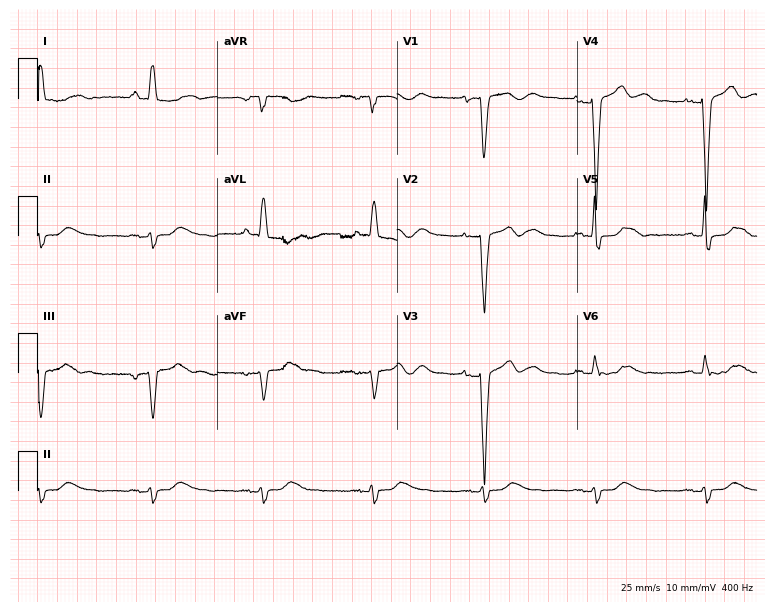
Resting 12-lead electrocardiogram (7.3-second recording at 400 Hz). Patient: a 72-year-old female. None of these six findings is recorded: first-degree AV block, right bundle branch block, left bundle branch block, sinus bradycardia, atrial fibrillation, sinus tachycardia.